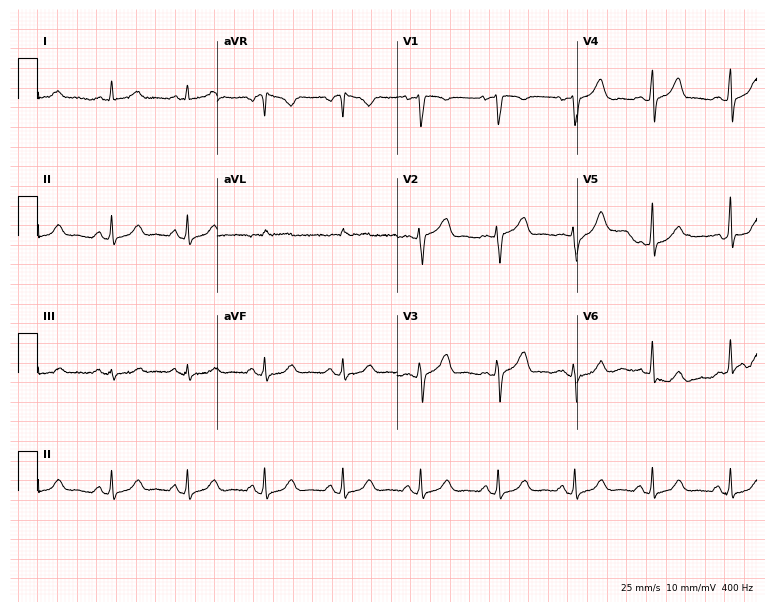
Electrocardiogram (7.3-second recording at 400 Hz), a woman, 41 years old. Overall reading on record: normal ECG.